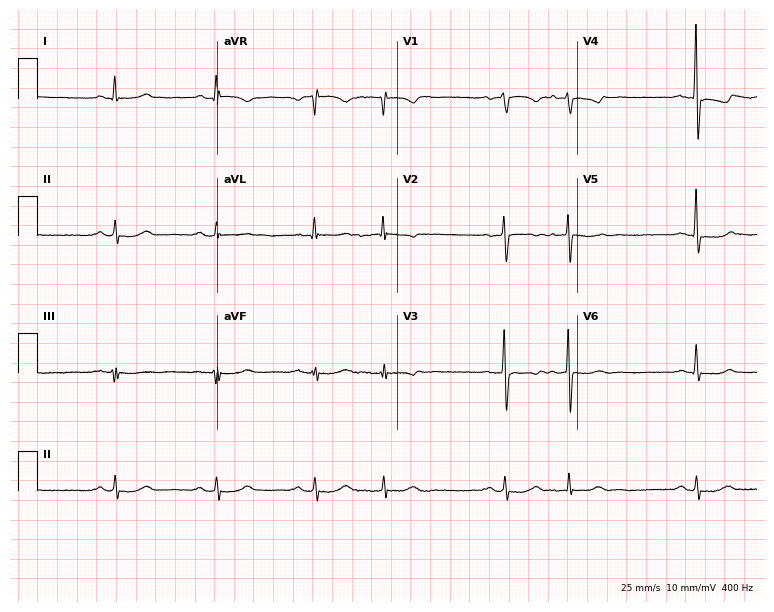
Standard 12-lead ECG recorded from a 61-year-old female patient (7.3-second recording at 400 Hz). None of these six findings is recorded: first-degree AV block, right bundle branch block, left bundle branch block, sinus bradycardia, atrial fibrillation, sinus tachycardia.